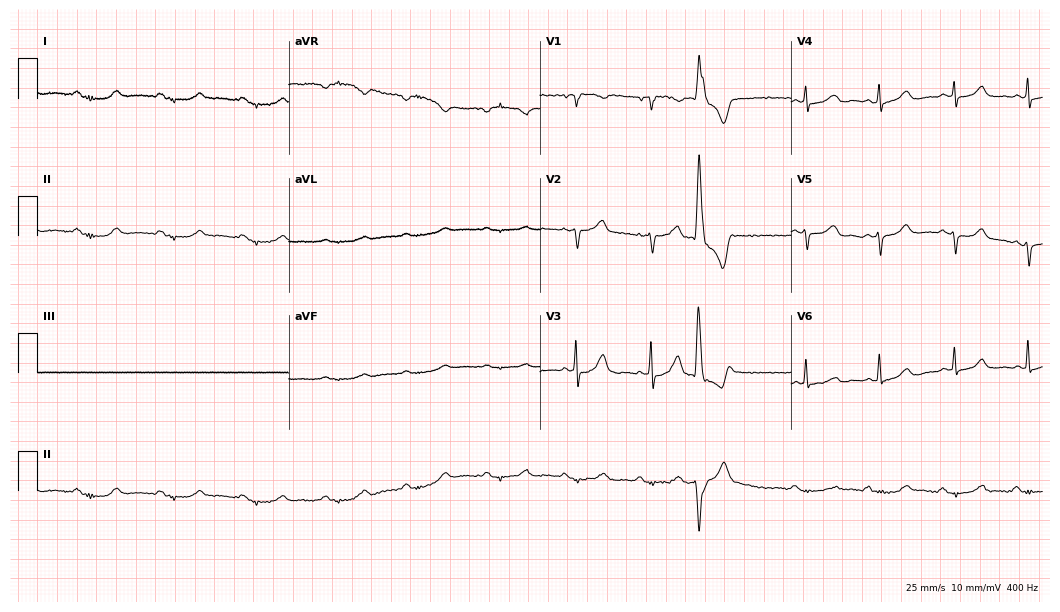
ECG — an 82-year-old female. Screened for six findings — first-degree AV block, right bundle branch block (RBBB), left bundle branch block (LBBB), sinus bradycardia, atrial fibrillation (AF), sinus tachycardia — none is recorded. Findings outside these six are not listed.